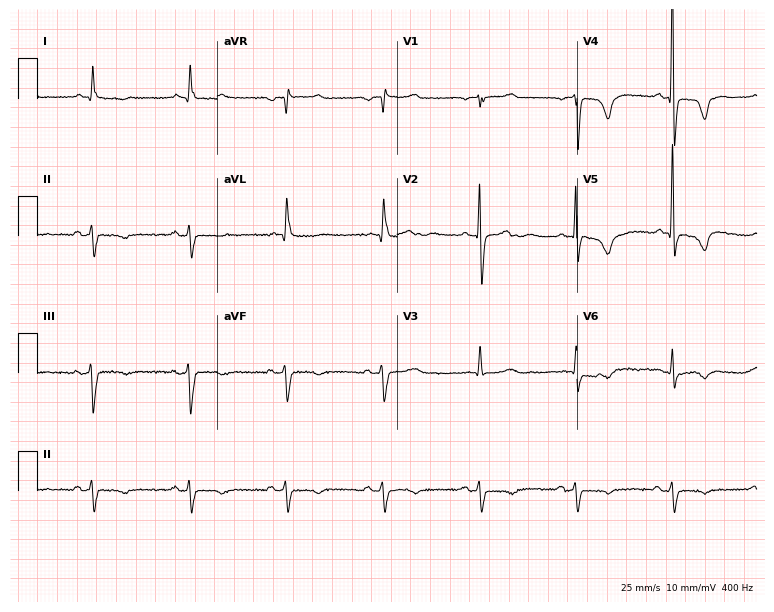
ECG (7.3-second recording at 400 Hz) — an 83-year-old male. Screened for six findings — first-degree AV block, right bundle branch block (RBBB), left bundle branch block (LBBB), sinus bradycardia, atrial fibrillation (AF), sinus tachycardia — none is recorded. Findings outside these six are not listed.